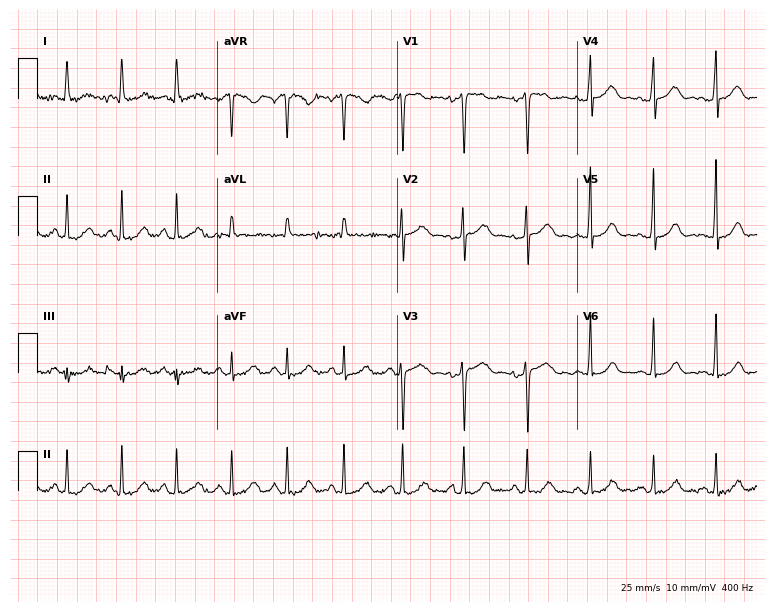
Electrocardiogram, a 48-year-old female. Of the six screened findings (first-degree AV block, right bundle branch block, left bundle branch block, sinus bradycardia, atrial fibrillation, sinus tachycardia), none is recorded.